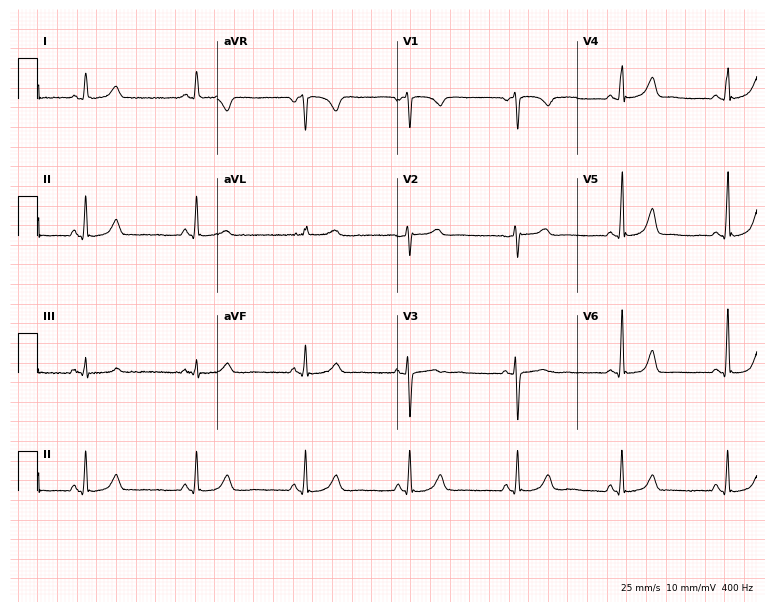
Electrocardiogram (7.3-second recording at 400 Hz), a 49-year-old female patient. Overall reading on record: normal ECG.